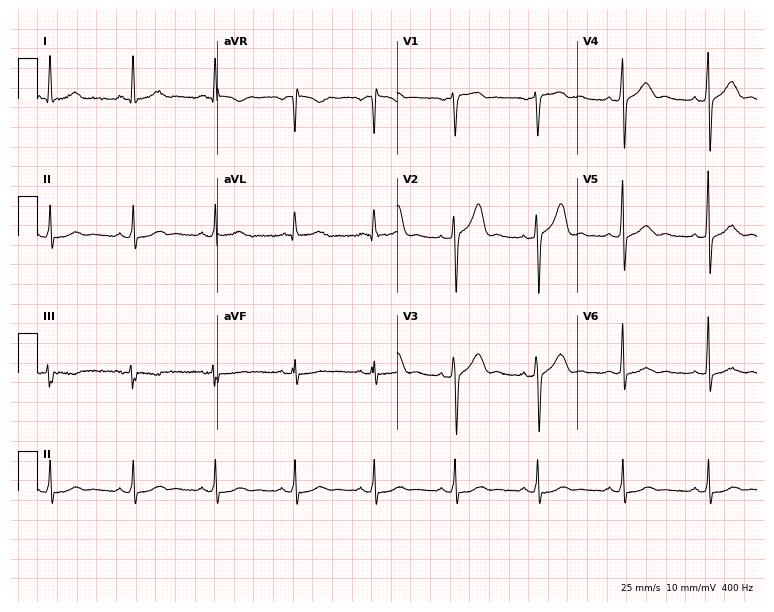
Electrocardiogram (7.3-second recording at 400 Hz), a man, 55 years old. Overall reading on record: normal ECG.